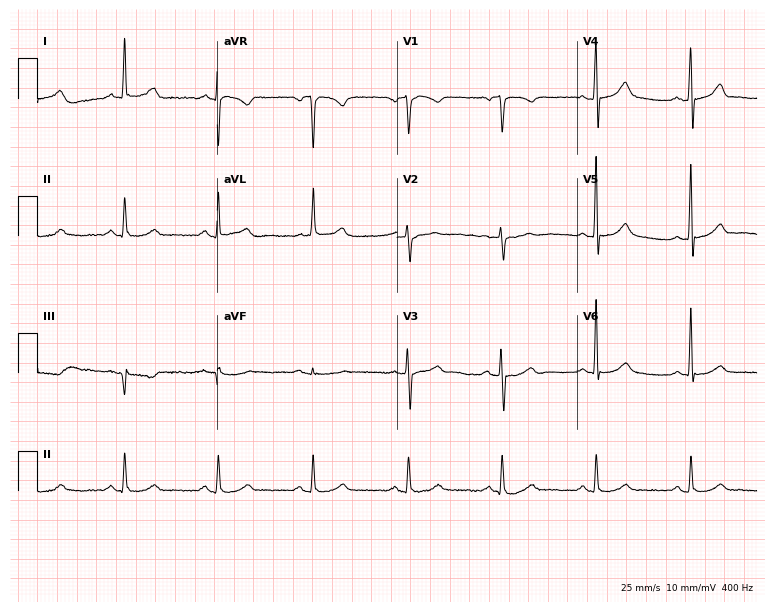
Standard 12-lead ECG recorded from a 68-year-old female. Read as a normal ECG.